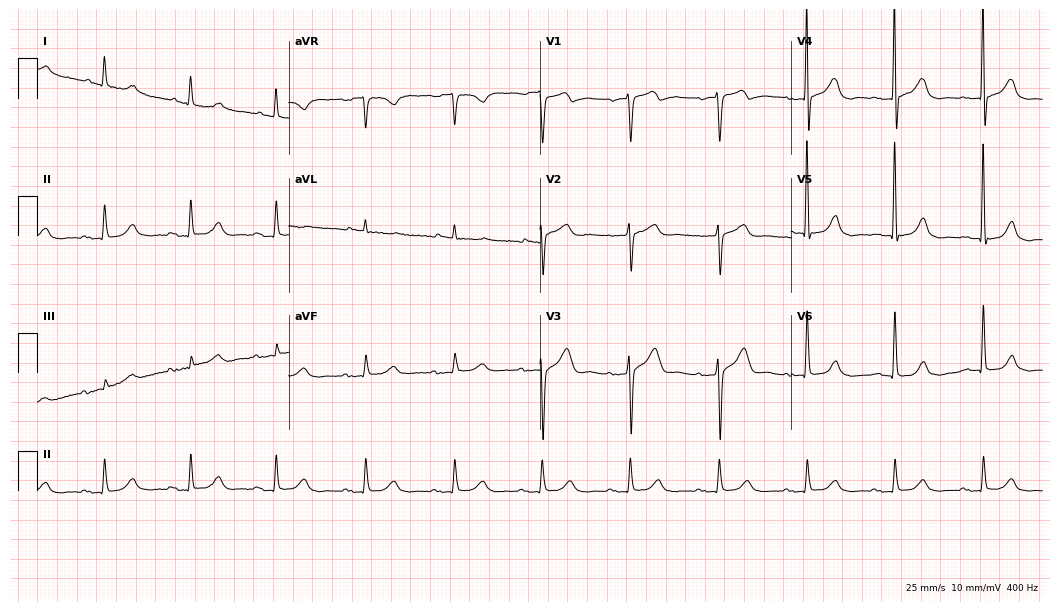
Resting 12-lead electrocardiogram. Patient: an 83-year-old male. None of these six findings is recorded: first-degree AV block, right bundle branch block (RBBB), left bundle branch block (LBBB), sinus bradycardia, atrial fibrillation (AF), sinus tachycardia. Other findings, if any, are not listed.